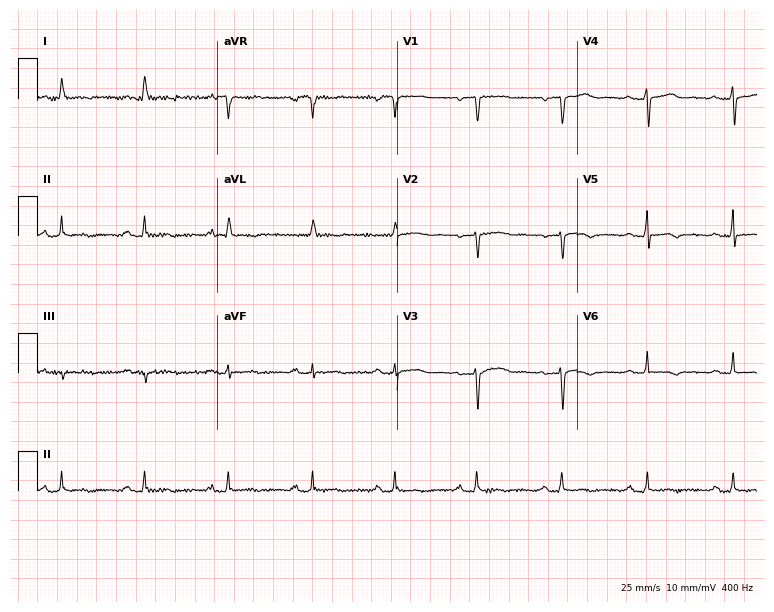
Standard 12-lead ECG recorded from a 63-year-old female (7.3-second recording at 400 Hz). None of these six findings is recorded: first-degree AV block, right bundle branch block, left bundle branch block, sinus bradycardia, atrial fibrillation, sinus tachycardia. Only these six findings were labelled.